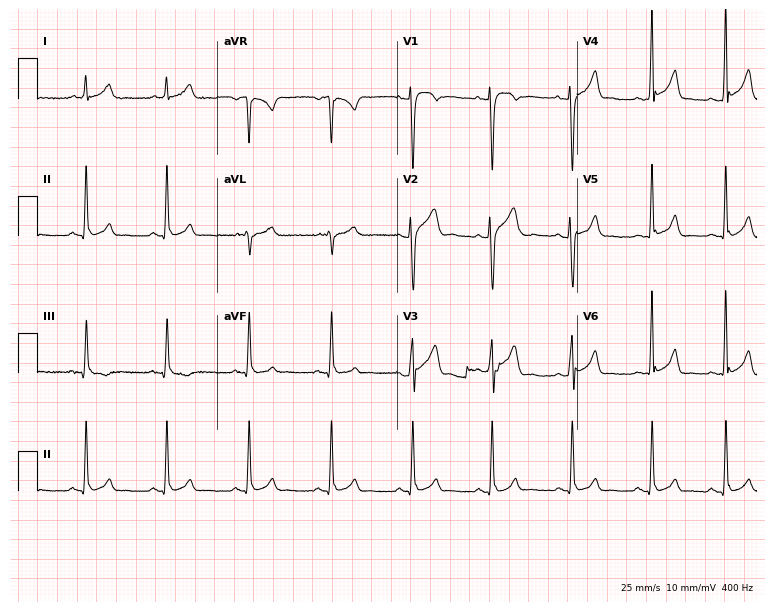
Resting 12-lead electrocardiogram. Patient: a man, 22 years old. None of these six findings is recorded: first-degree AV block, right bundle branch block, left bundle branch block, sinus bradycardia, atrial fibrillation, sinus tachycardia.